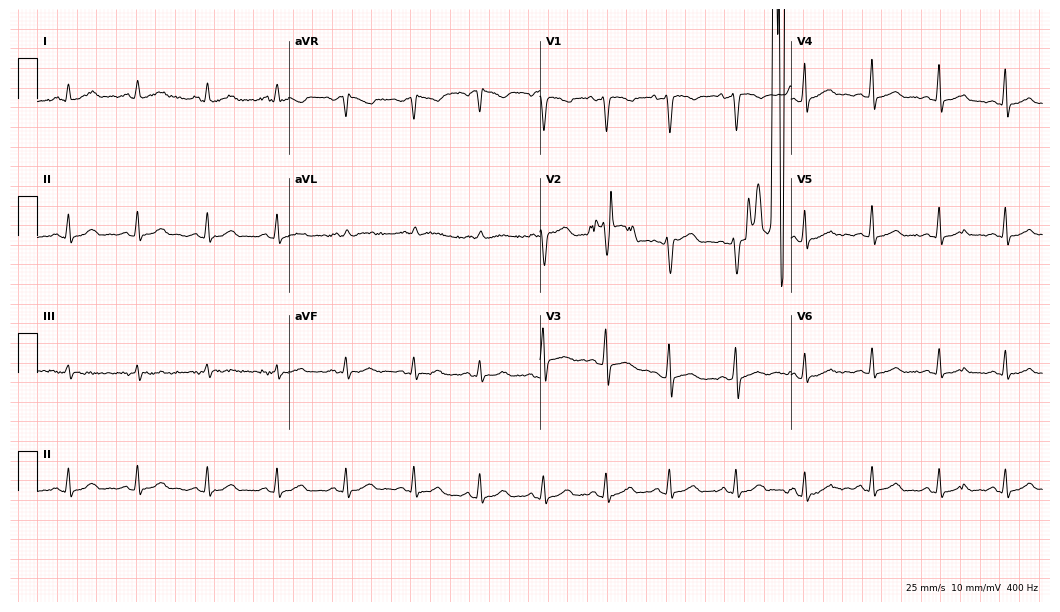
12-lead ECG from a female, 29 years old. Labelled as a normal ECG.